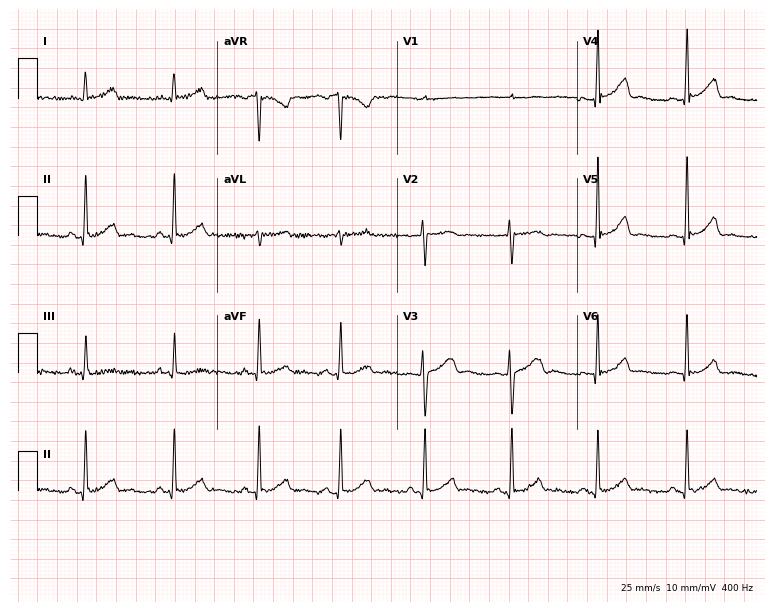
12-lead ECG from a female, 23 years old (7.3-second recording at 400 Hz). Recorded interpretation: within normal limits.